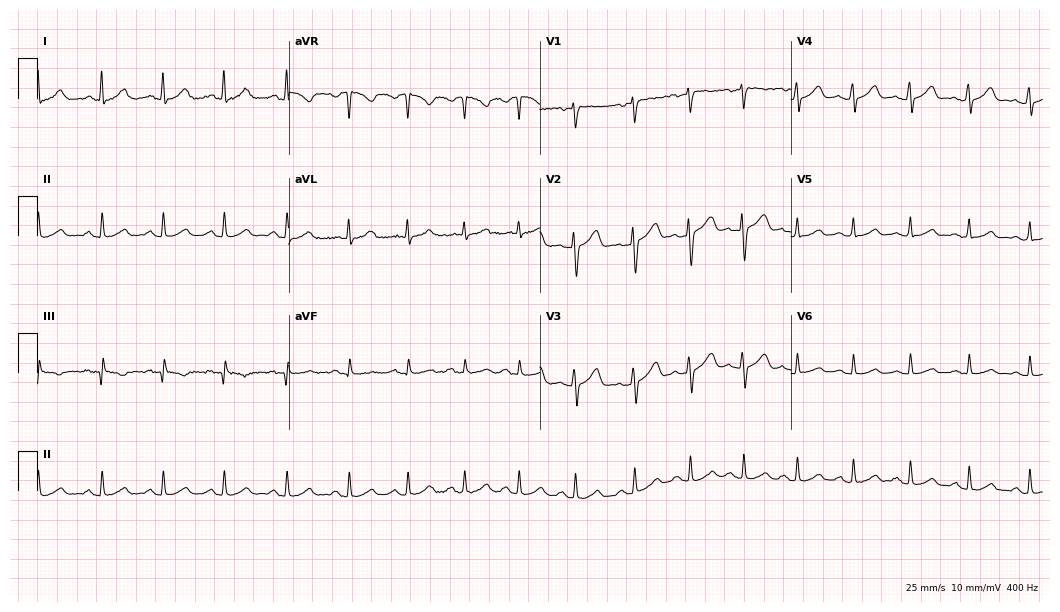
12-lead ECG from a 39-year-old woman (10.2-second recording at 400 Hz). Recorded interpretation: within normal limits.